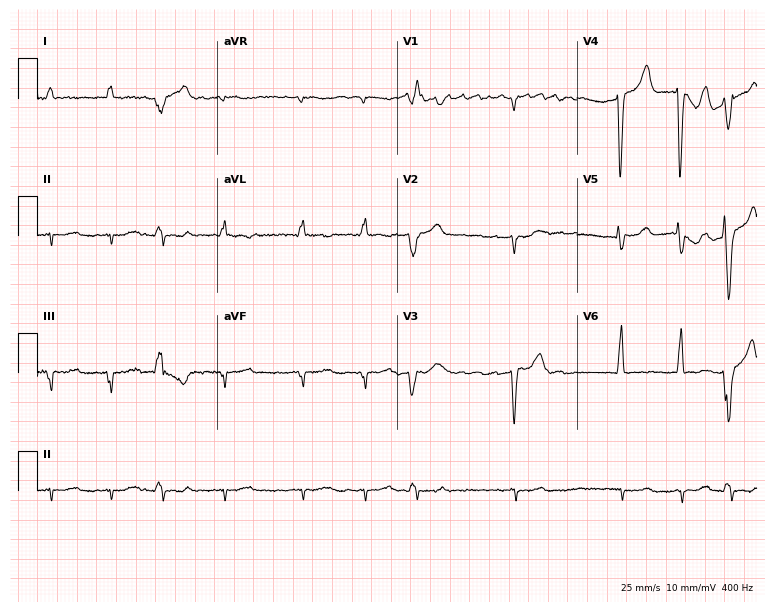
Standard 12-lead ECG recorded from a 67-year-old male patient. The tracing shows atrial fibrillation.